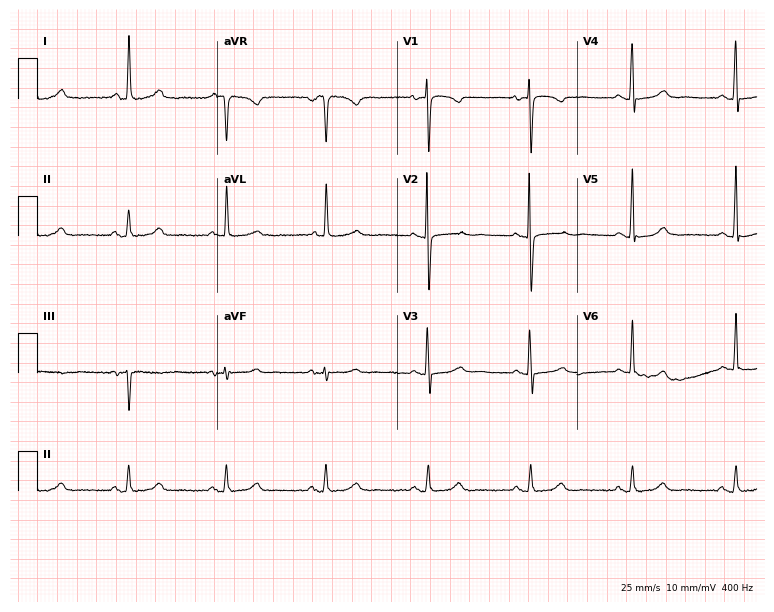
Electrocardiogram (7.3-second recording at 400 Hz), an 82-year-old female. Of the six screened findings (first-degree AV block, right bundle branch block (RBBB), left bundle branch block (LBBB), sinus bradycardia, atrial fibrillation (AF), sinus tachycardia), none is recorded.